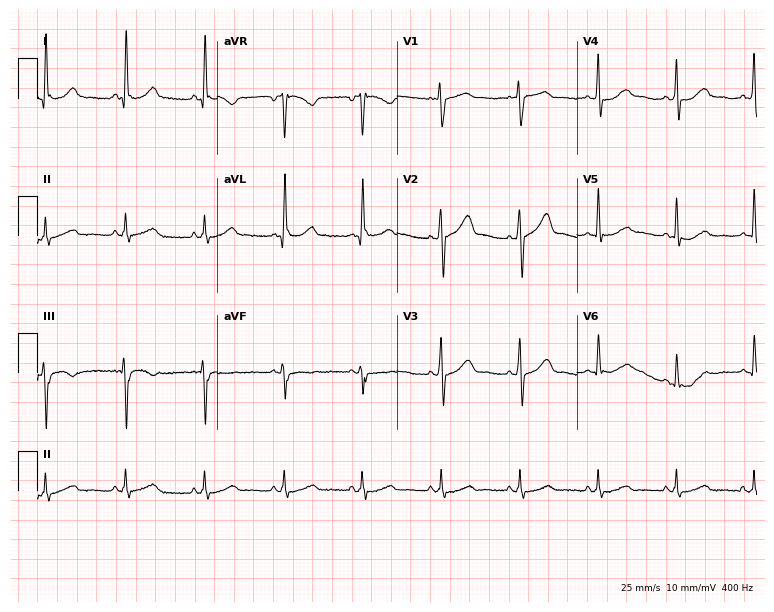
ECG — a man, 57 years old. Labelled as a normal ECG.